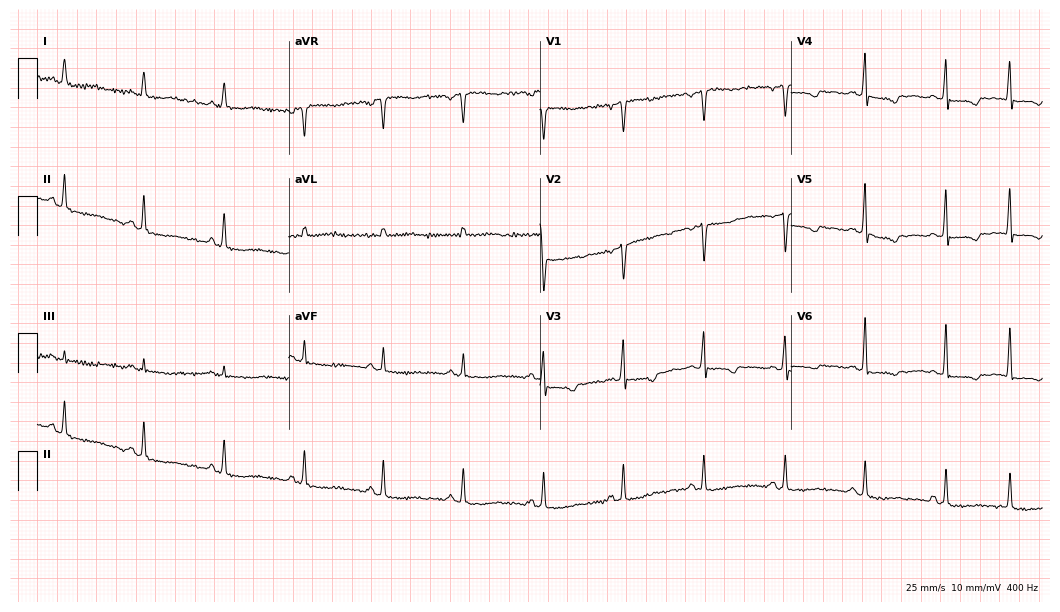
Standard 12-lead ECG recorded from a woman, 41 years old. None of these six findings is recorded: first-degree AV block, right bundle branch block (RBBB), left bundle branch block (LBBB), sinus bradycardia, atrial fibrillation (AF), sinus tachycardia. Other findings, if any, are not listed.